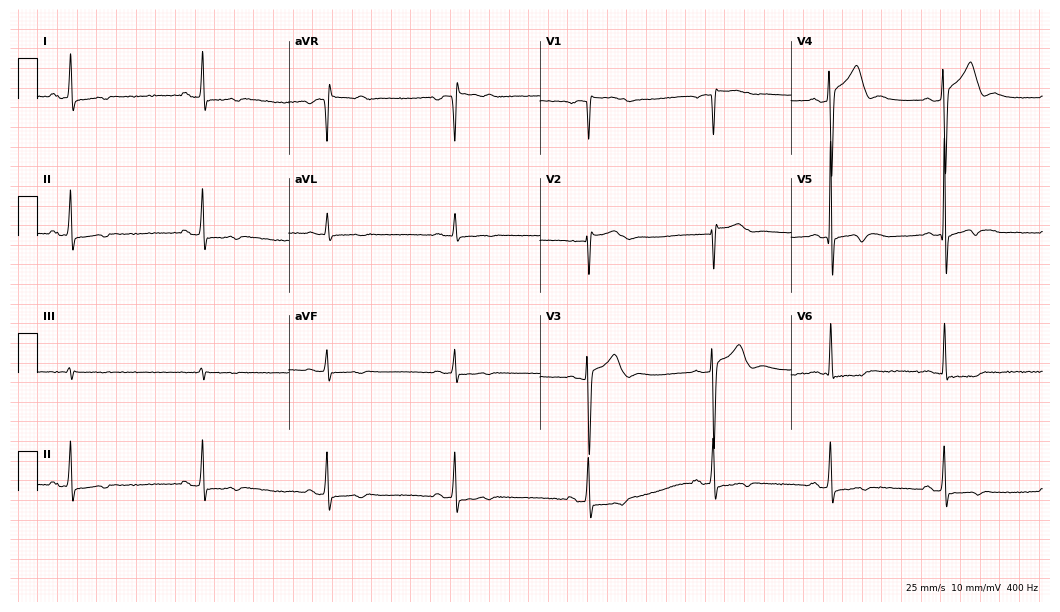
Electrocardiogram (10.2-second recording at 400 Hz), a male, 39 years old. Interpretation includes sinus bradycardia (a sinus rate of 50 beats per minute or less).